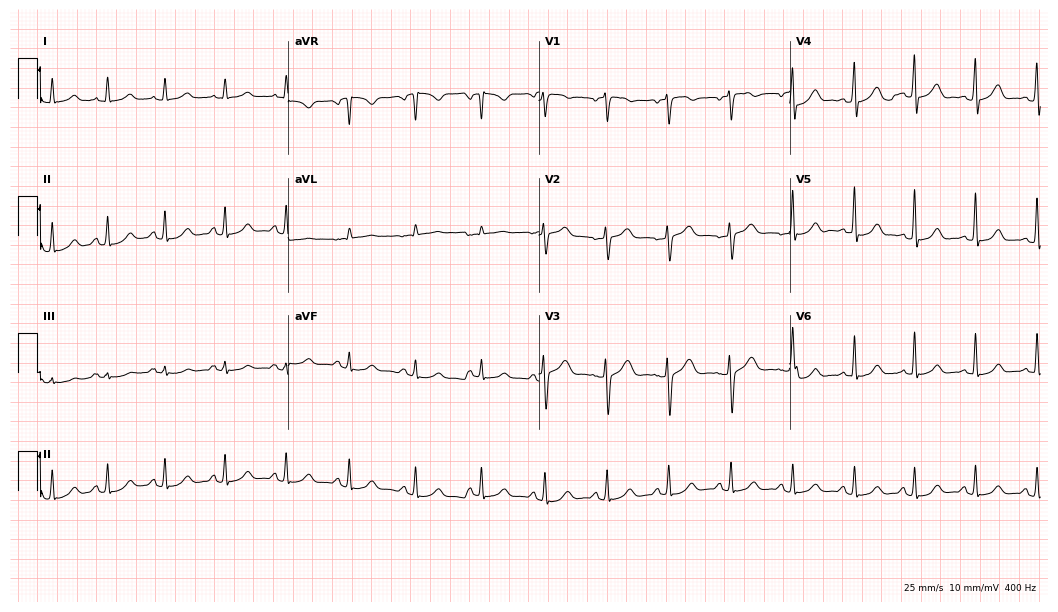
ECG — a woman, 31 years old. Labelled as a normal ECG.